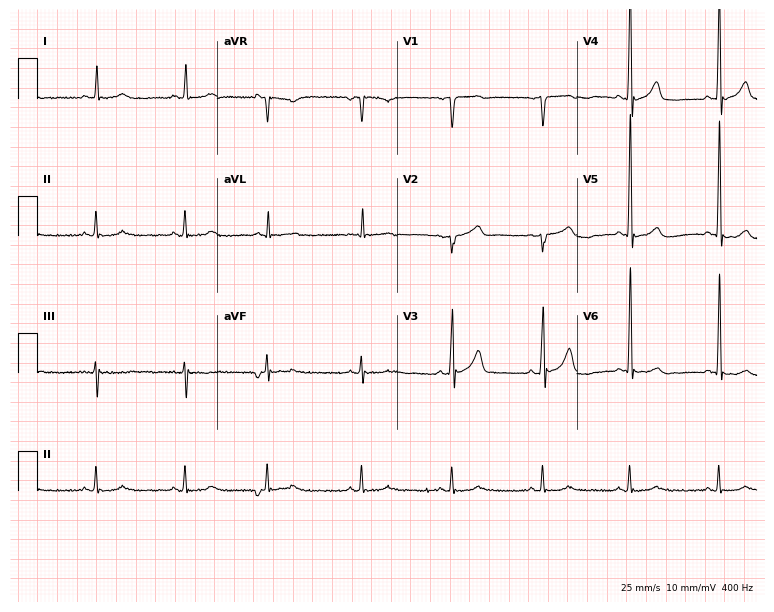
Standard 12-lead ECG recorded from an 81-year-old man. Read as a normal ECG.